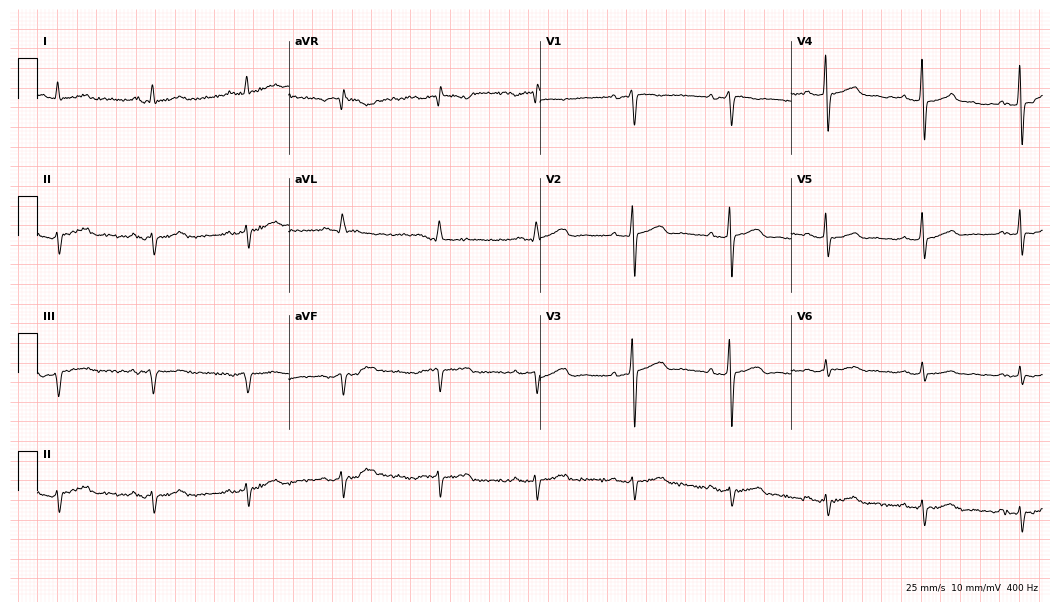
ECG (10.2-second recording at 400 Hz) — a male, 82 years old. Screened for six findings — first-degree AV block, right bundle branch block (RBBB), left bundle branch block (LBBB), sinus bradycardia, atrial fibrillation (AF), sinus tachycardia — none is recorded. Findings outside these six are not listed.